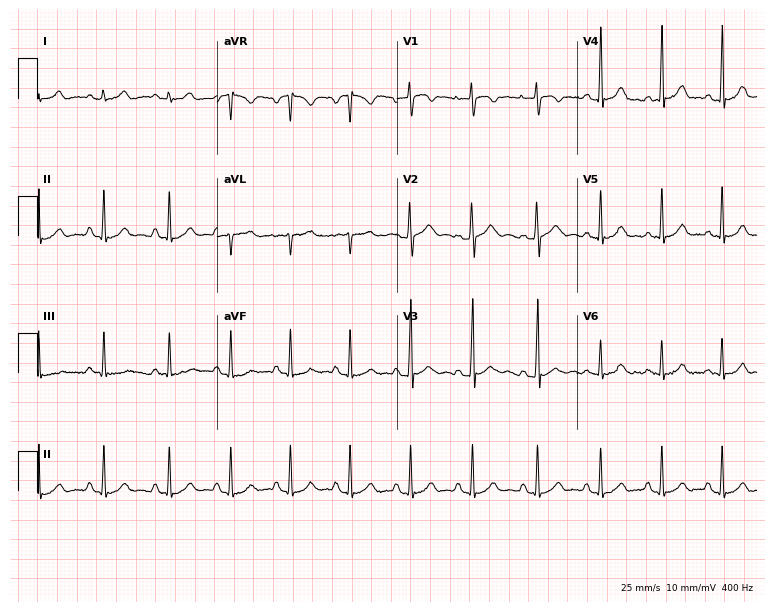
Standard 12-lead ECG recorded from a 19-year-old male (7.3-second recording at 400 Hz). Read as a normal ECG.